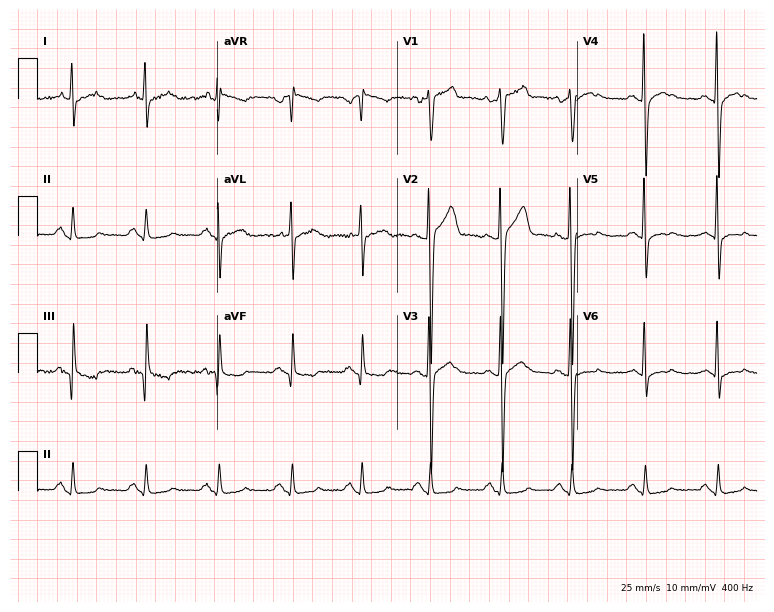
Standard 12-lead ECG recorded from a male, 31 years old. None of these six findings is recorded: first-degree AV block, right bundle branch block, left bundle branch block, sinus bradycardia, atrial fibrillation, sinus tachycardia.